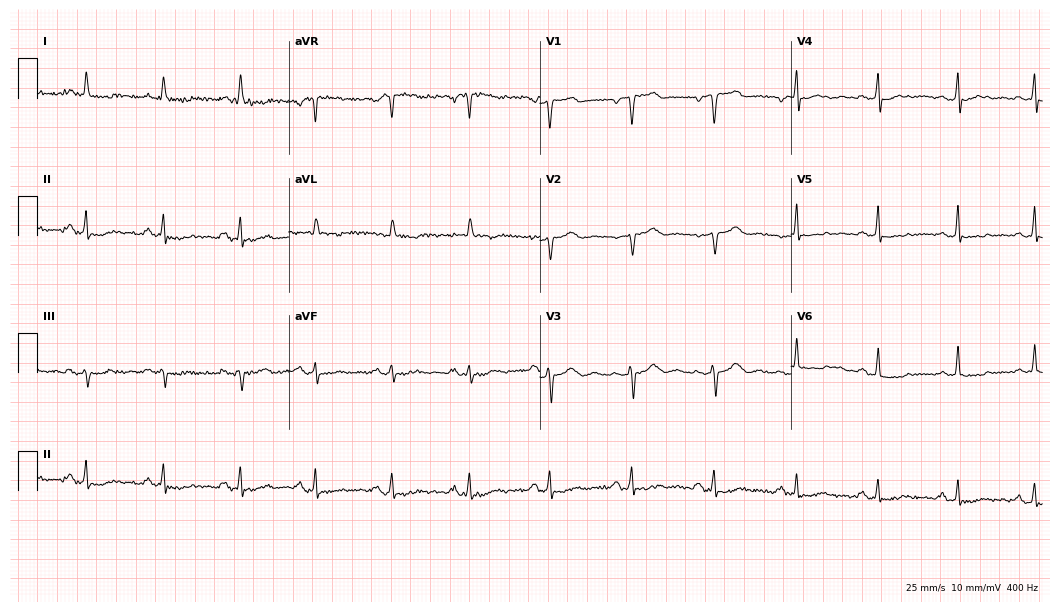
12-lead ECG from a 59-year-old male. No first-degree AV block, right bundle branch block, left bundle branch block, sinus bradycardia, atrial fibrillation or sinus tachycardia recorded for this tracing.